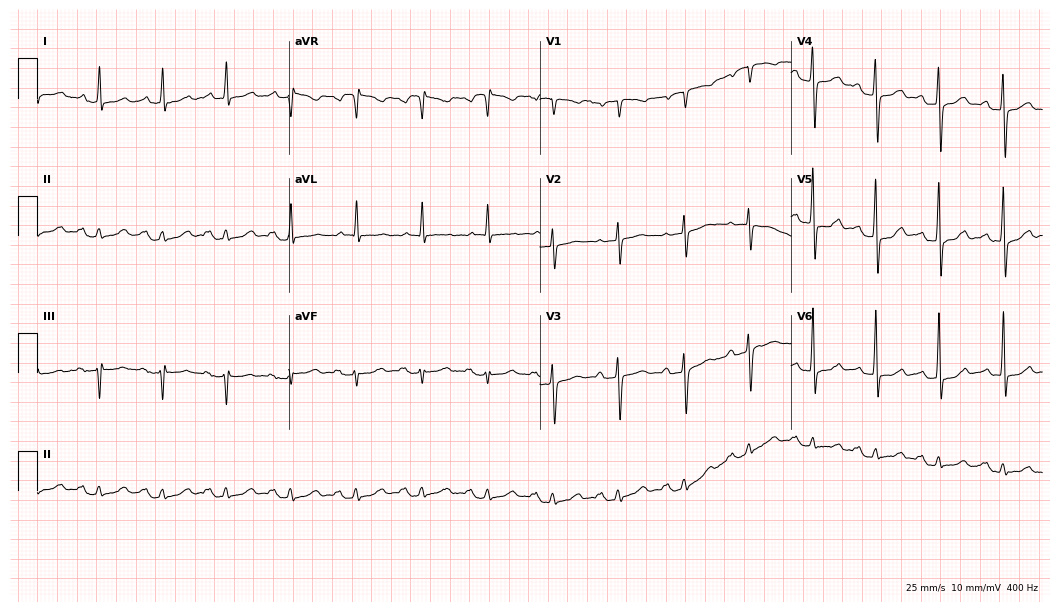
12-lead ECG from a male, 68 years old. Labelled as a normal ECG.